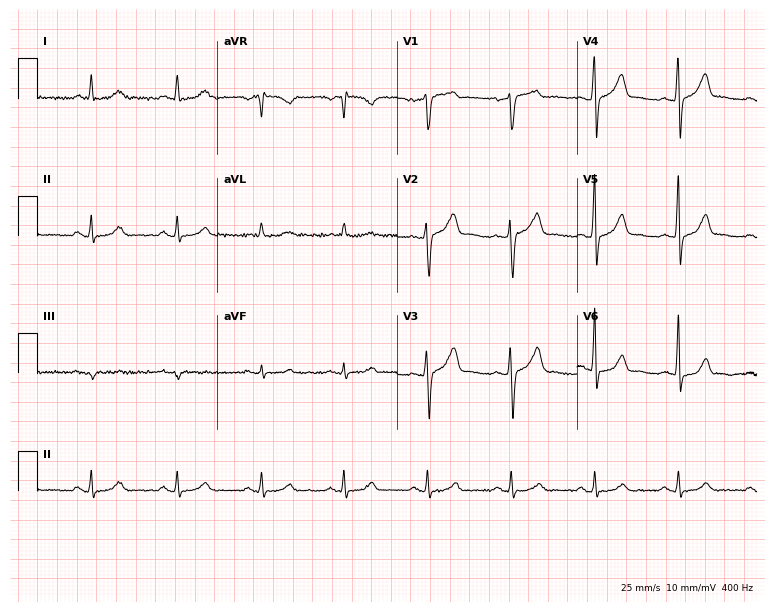
ECG (7.3-second recording at 400 Hz) — a male patient, 56 years old. Screened for six findings — first-degree AV block, right bundle branch block, left bundle branch block, sinus bradycardia, atrial fibrillation, sinus tachycardia — none is recorded. Other findings, if any, are not listed.